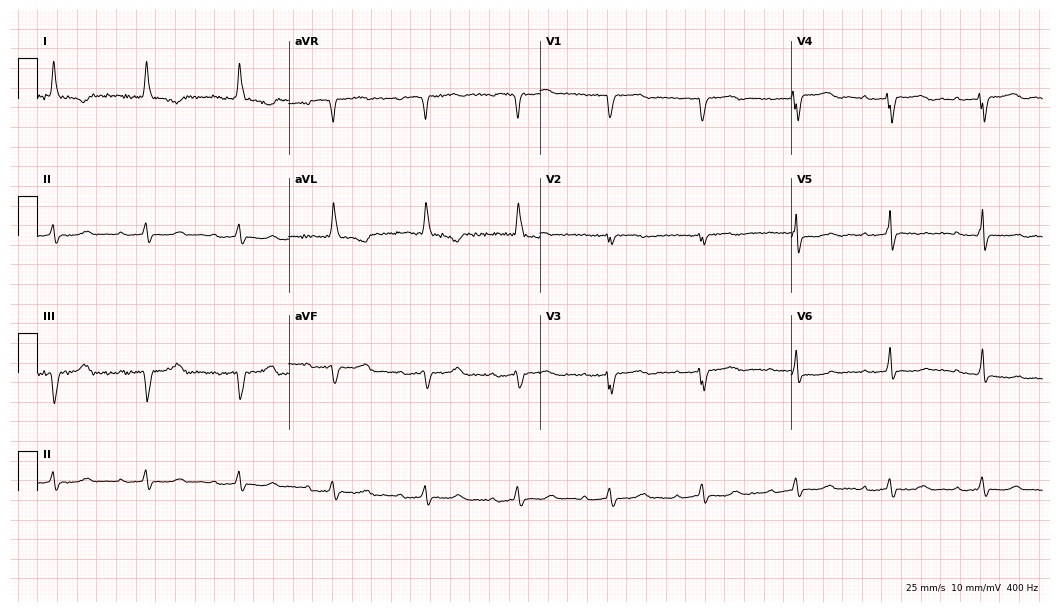
12-lead ECG from an 83-year-old female (10.2-second recording at 400 Hz). No first-degree AV block, right bundle branch block (RBBB), left bundle branch block (LBBB), sinus bradycardia, atrial fibrillation (AF) or sinus tachycardia recorded for this tracing. Only these six findings were labelled.